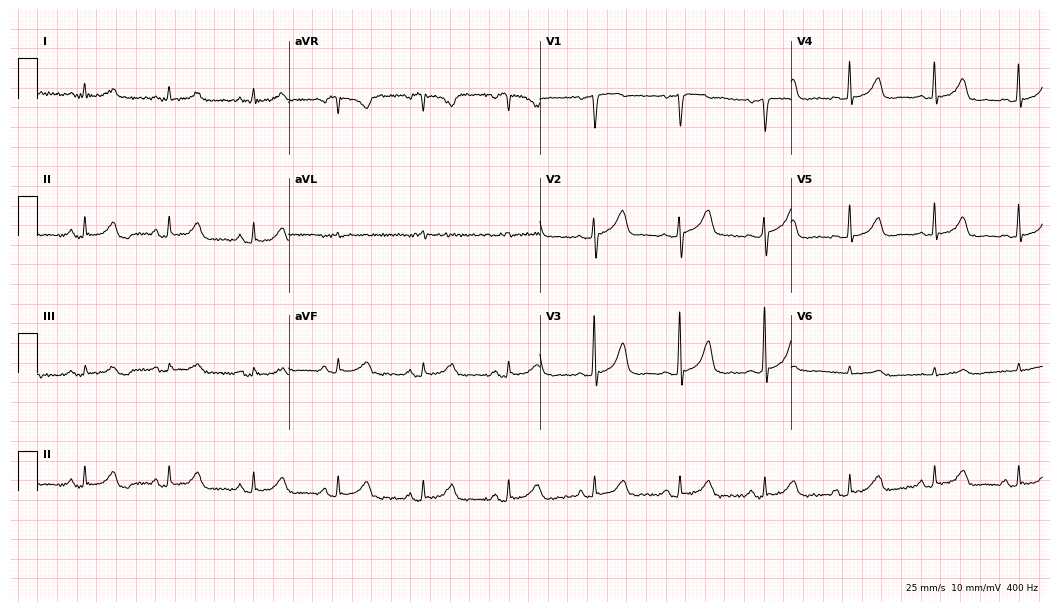
Electrocardiogram (10.2-second recording at 400 Hz), a female, 73 years old. Overall reading on record: normal ECG.